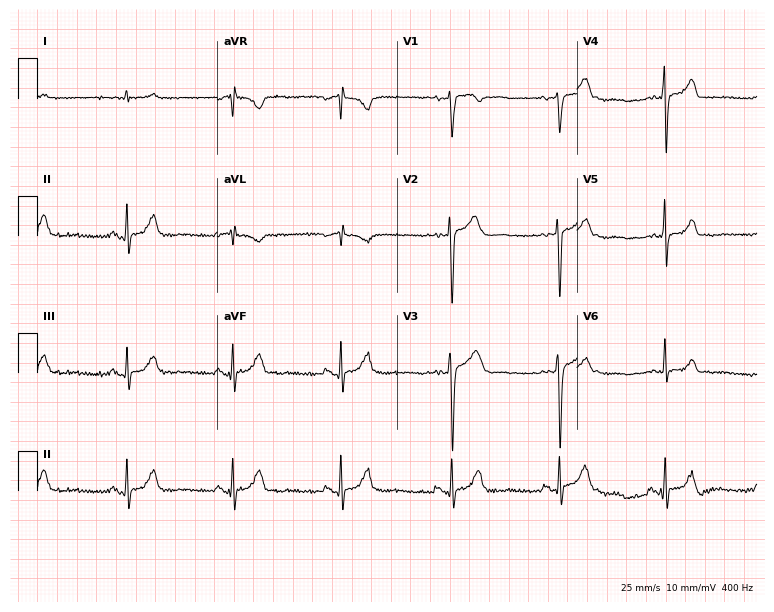
Resting 12-lead electrocardiogram (7.3-second recording at 400 Hz). Patient: a 64-year-old male. None of these six findings is recorded: first-degree AV block, right bundle branch block, left bundle branch block, sinus bradycardia, atrial fibrillation, sinus tachycardia.